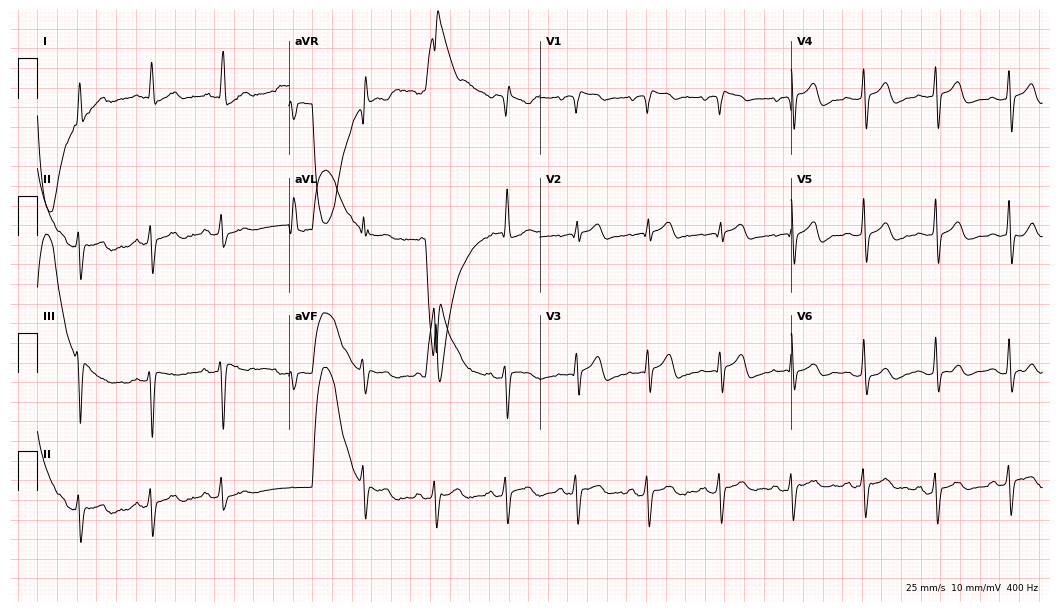
12-lead ECG from a man, 63 years old. Screened for six findings — first-degree AV block, right bundle branch block (RBBB), left bundle branch block (LBBB), sinus bradycardia, atrial fibrillation (AF), sinus tachycardia — none is recorded. Other findings, if any, are not listed.